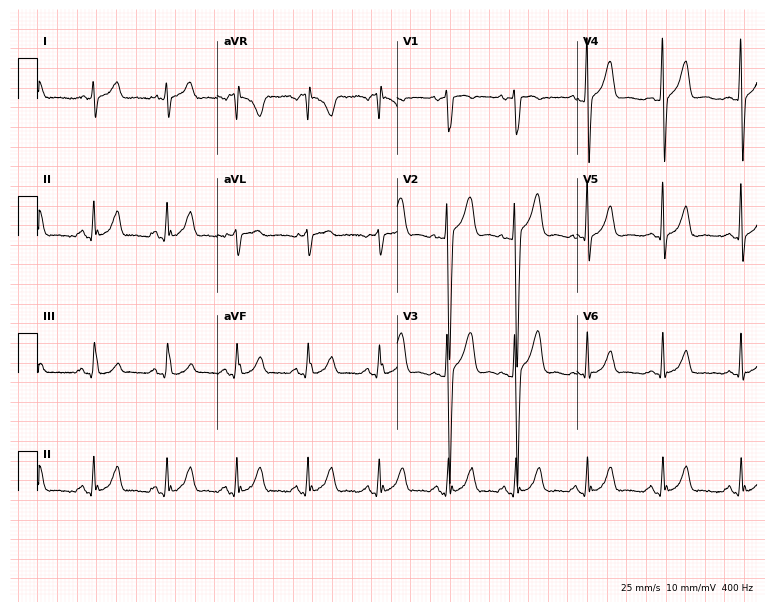
12-lead ECG from a 71-year-old male. Labelled as a normal ECG.